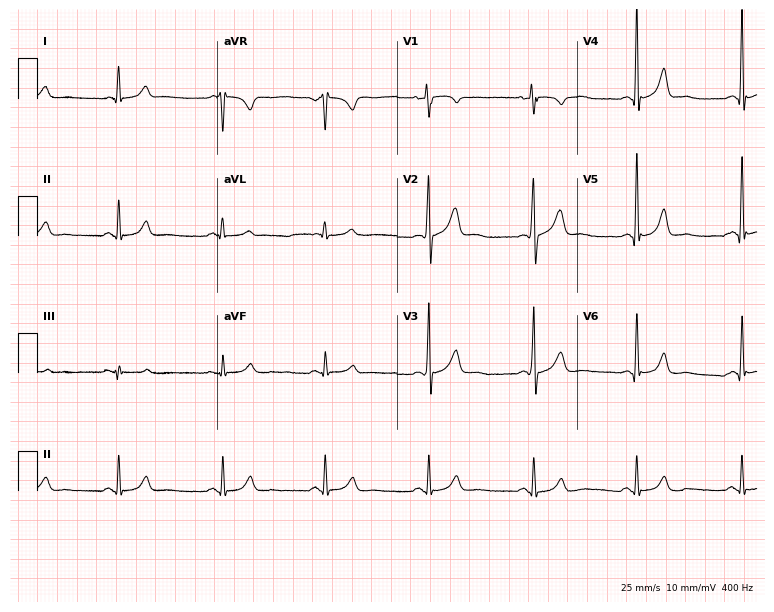
Electrocardiogram (7.3-second recording at 400 Hz), a 44-year-old man. Overall reading on record: normal ECG.